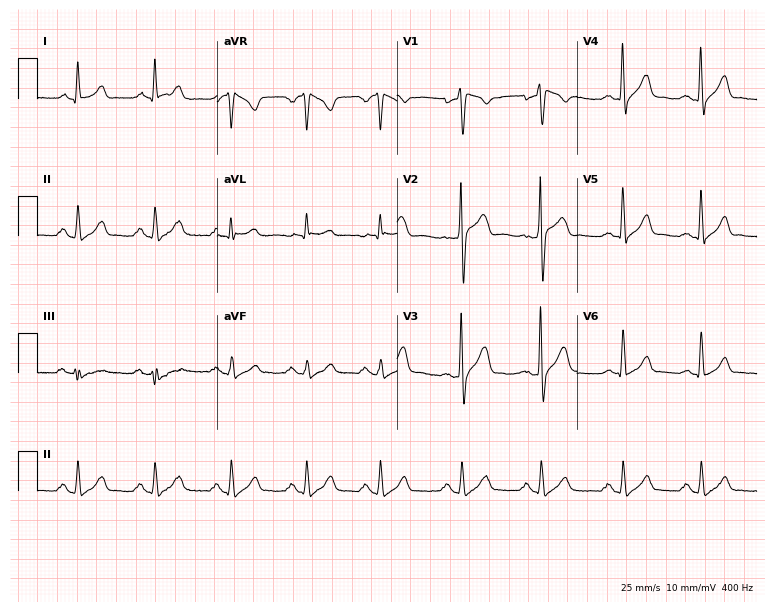
Resting 12-lead electrocardiogram. Patient: a 24-year-old male. None of these six findings is recorded: first-degree AV block, right bundle branch block, left bundle branch block, sinus bradycardia, atrial fibrillation, sinus tachycardia.